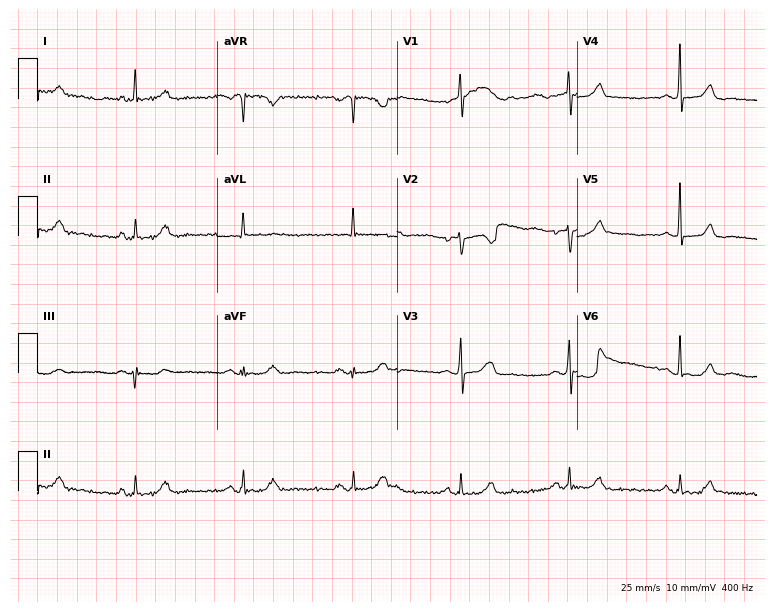
12-lead ECG from a 61-year-old female patient. Labelled as a normal ECG.